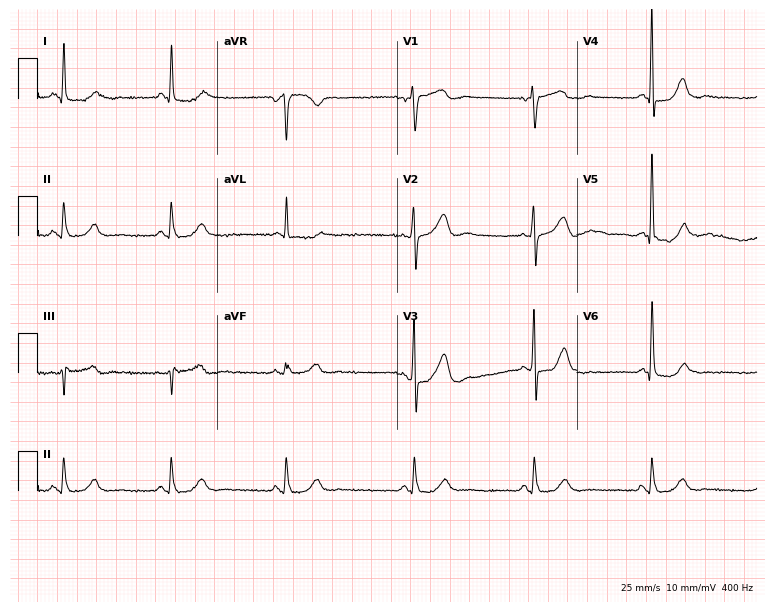
Resting 12-lead electrocardiogram (7.3-second recording at 400 Hz). Patient: a male, 79 years old. Read as a normal ECG.